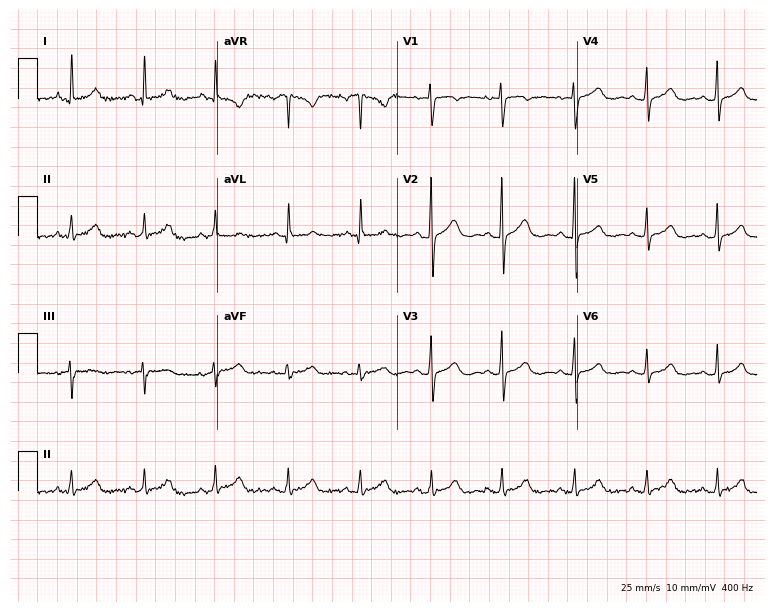
ECG (7.3-second recording at 400 Hz) — a 31-year-old female. Labelled as a normal ECG.